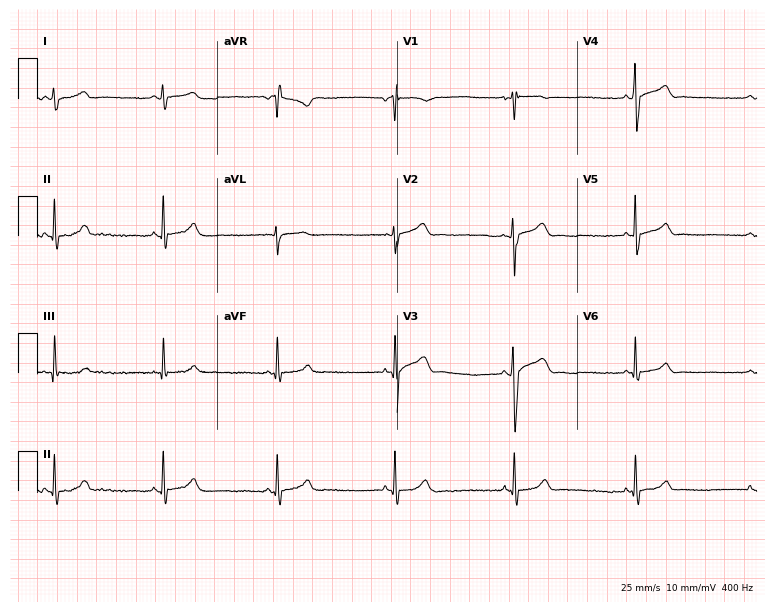
12-lead ECG from a 24-year-old male (7.3-second recording at 400 Hz). Recorded interpretation: within normal limits.